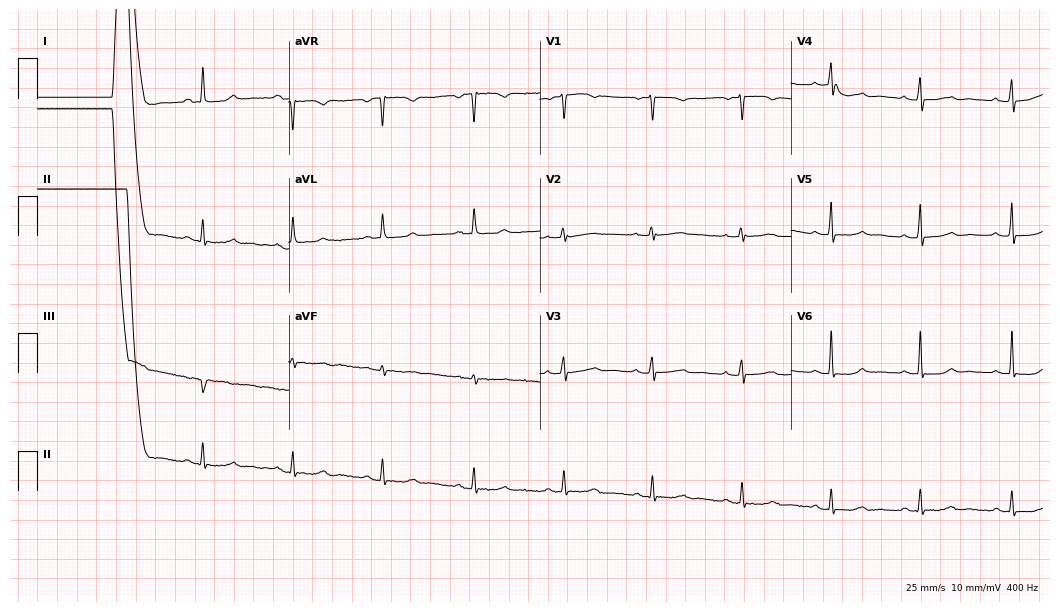
12-lead ECG from a 65-year-old female patient. No first-degree AV block, right bundle branch block, left bundle branch block, sinus bradycardia, atrial fibrillation or sinus tachycardia recorded for this tracing. Other findings, if any, are not listed.